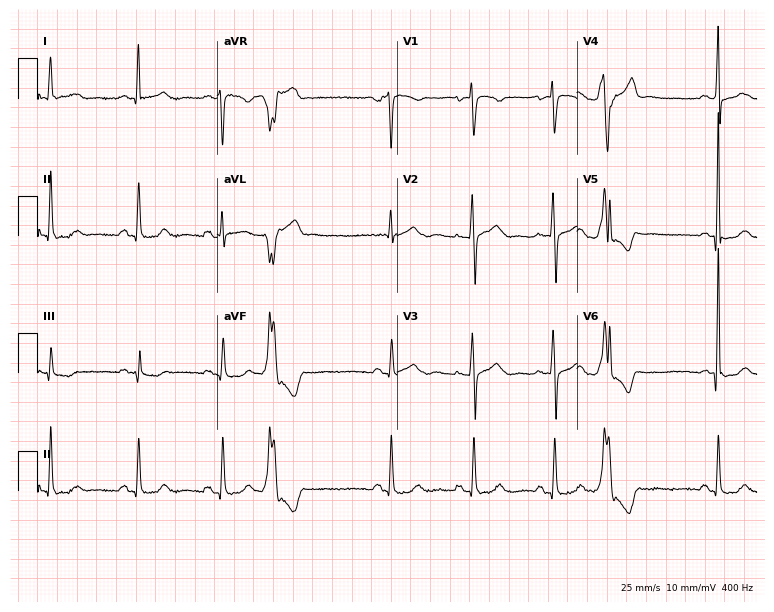
Electrocardiogram, a 60-year-old woman. Of the six screened findings (first-degree AV block, right bundle branch block, left bundle branch block, sinus bradycardia, atrial fibrillation, sinus tachycardia), none is recorded. Other findings, if any, are not listed.